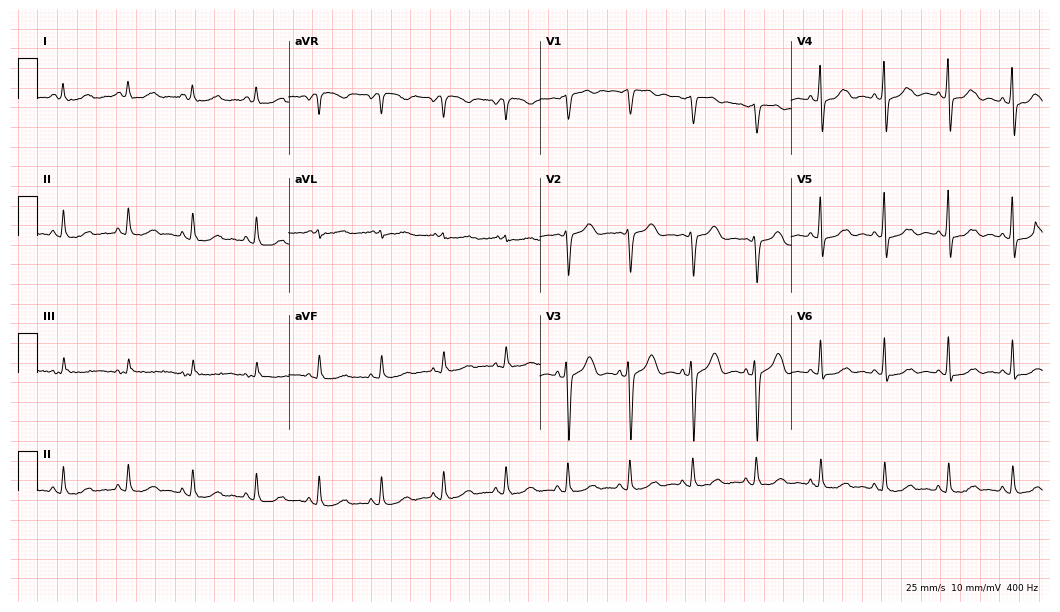
ECG (10.2-second recording at 400 Hz) — a female patient, 68 years old. Labelled as a normal ECG.